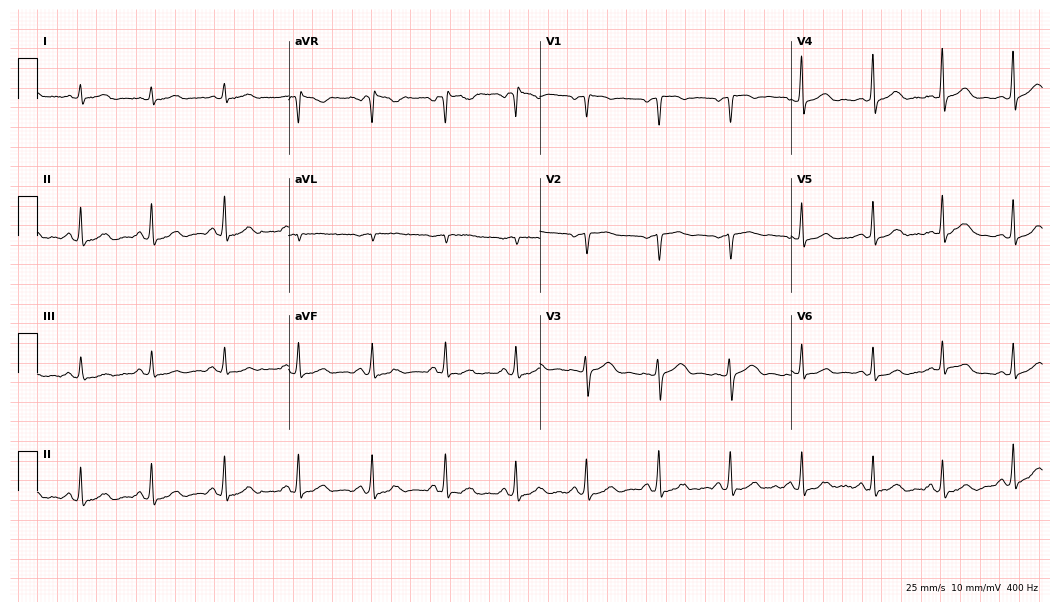
ECG — a 45-year-old woman. Labelled as a normal ECG.